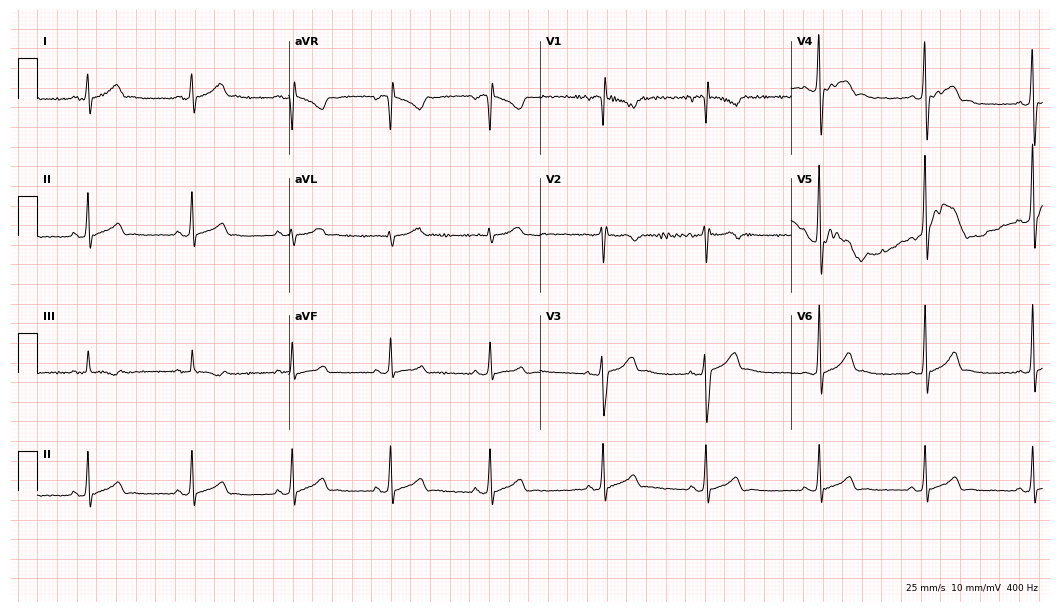
Electrocardiogram (10.2-second recording at 400 Hz), a 17-year-old male patient. Overall reading on record: normal ECG.